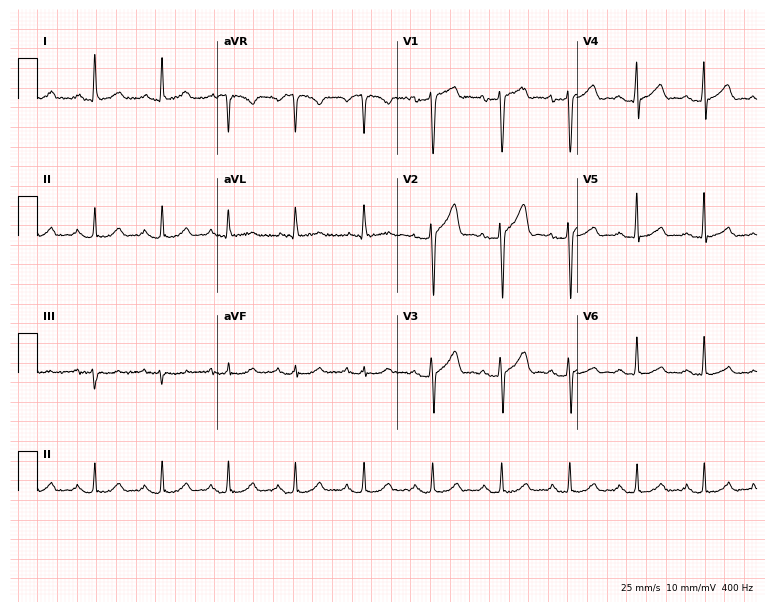
ECG (7.3-second recording at 400 Hz) — a 55-year-old male. Screened for six findings — first-degree AV block, right bundle branch block (RBBB), left bundle branch block (LBBB), sinus bradycardia, atrial fibrillation (AF), sinus tachycardia — none is recorded.